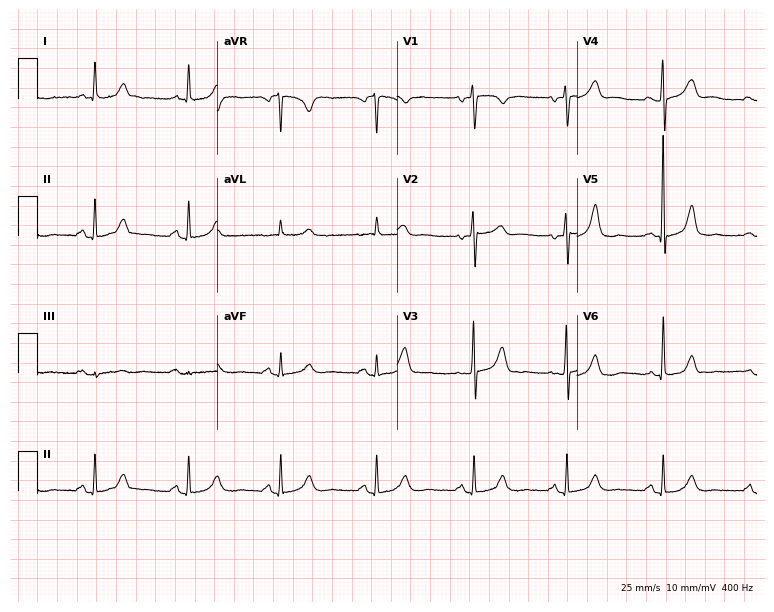
ECG — a 79-year-old female patient. Screened for six findings — first-degree AV block, right bundle branch block, left bundle branch block, sinus bradycardia, atrial fibrillation, sinus tachycardia — none is recorded.